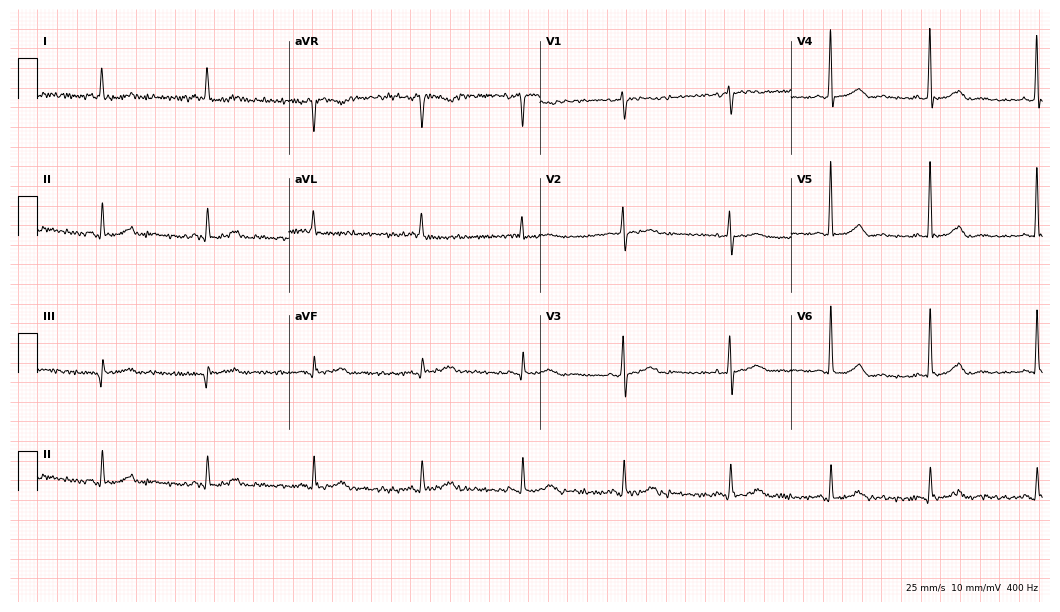
Standard 12-lead ECG recorded from a female, 62 years old. None of these six findings is recorded: first-degree AV block, right bundle branch block, left bundle branch block, sinus bradycardia, atrial fibrillation, sinus tachycardia. Other findings, if any, are not listed.